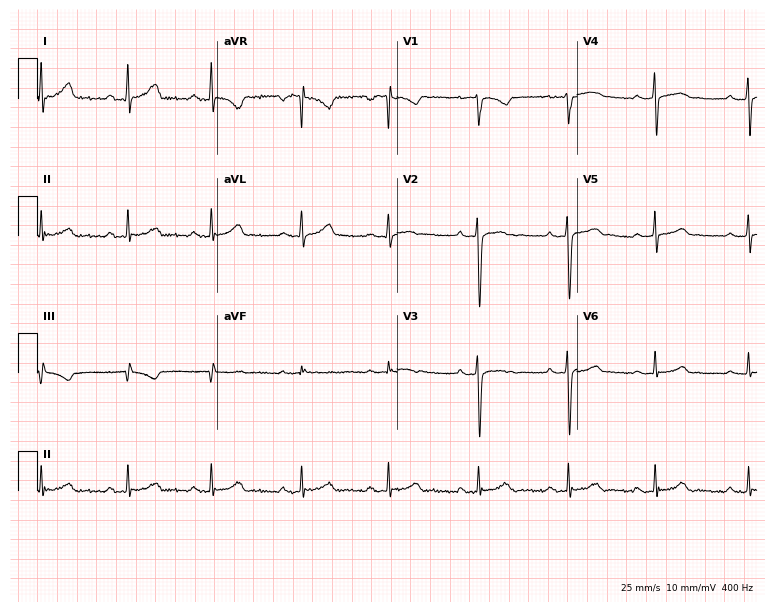
Resting 12-lead electrocardiogram (7.3-second recording at 400 Hz). Patient: a 22-year-old female. Read as a normal ECG.